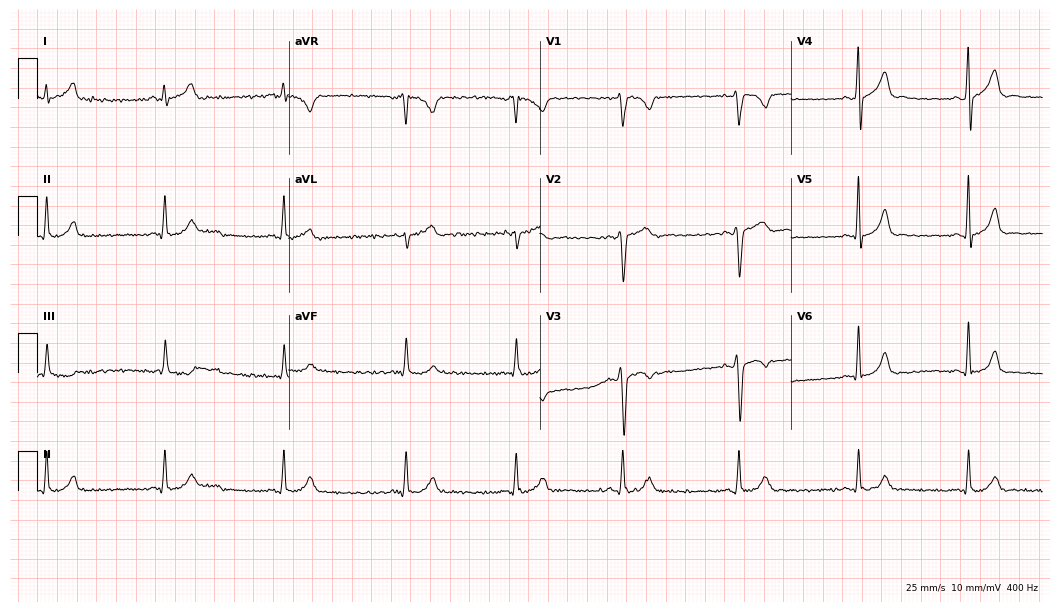
Electrocardiogram, a male, 26 years old. Overall reading on record: normal ECG.